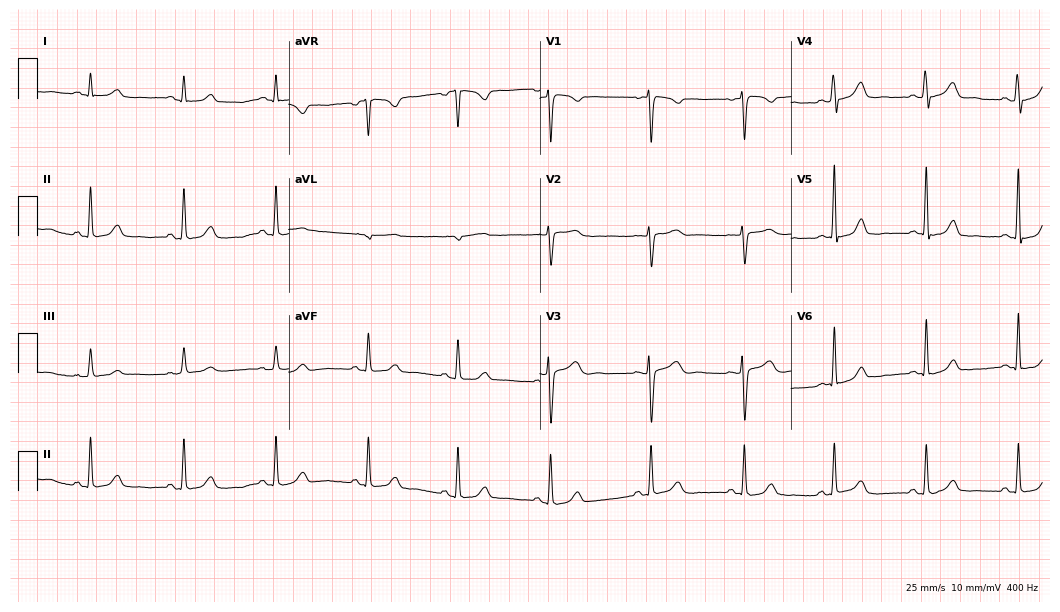
Standard 12-lead ECG recorded from a 44-year-old female. Read as a normal ECG.